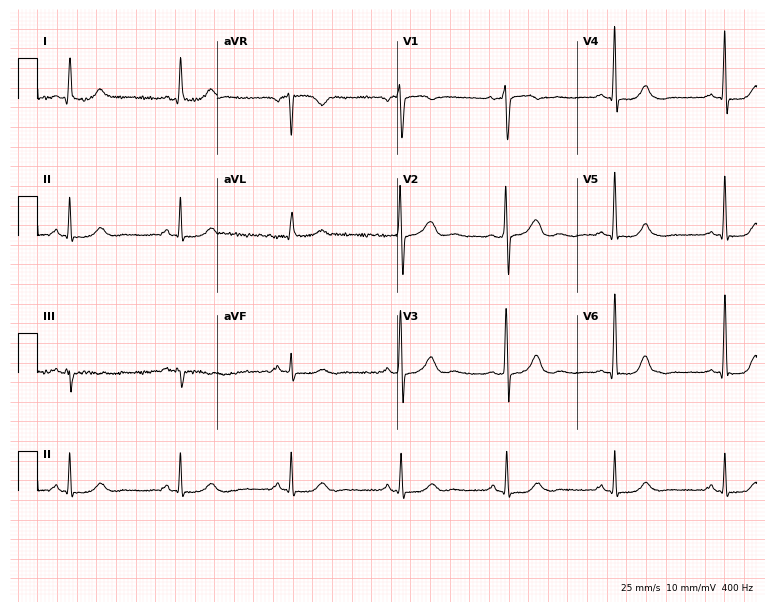
Standard 12-lead ECG recorded from a 55-year-old female patient. None of these six findings is recorded: first-degree AV block, right bundle branch block (RBBB), left bundle branch block (LBBB), sinus bradycardia, atrial fibrillation (AF), sinus tachycardia.